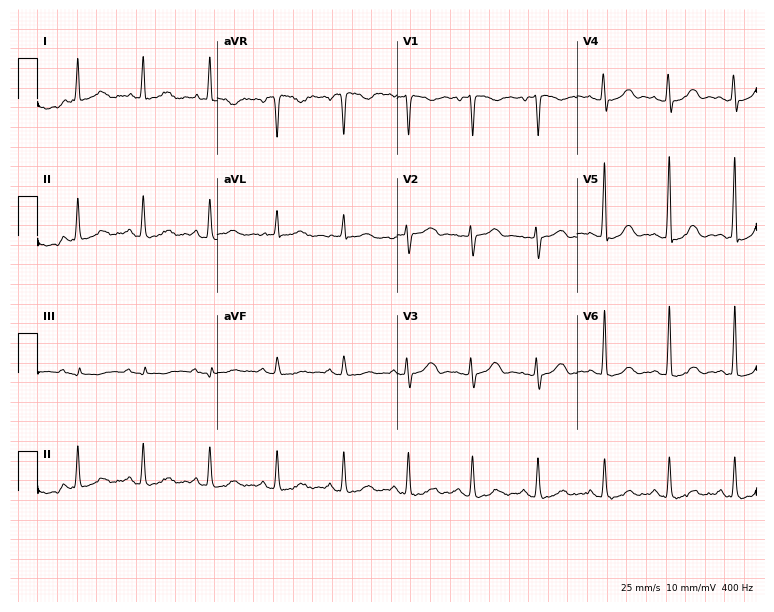
12-lead ECG from a 50-year-old female. Screened for six findings — first-degree AV block, right bundle branch block (RBBB), left bundle branch block (LBBB), sinus bradycardia, atrial fibrillation (AF), sinus tachycardia — none is recorded.